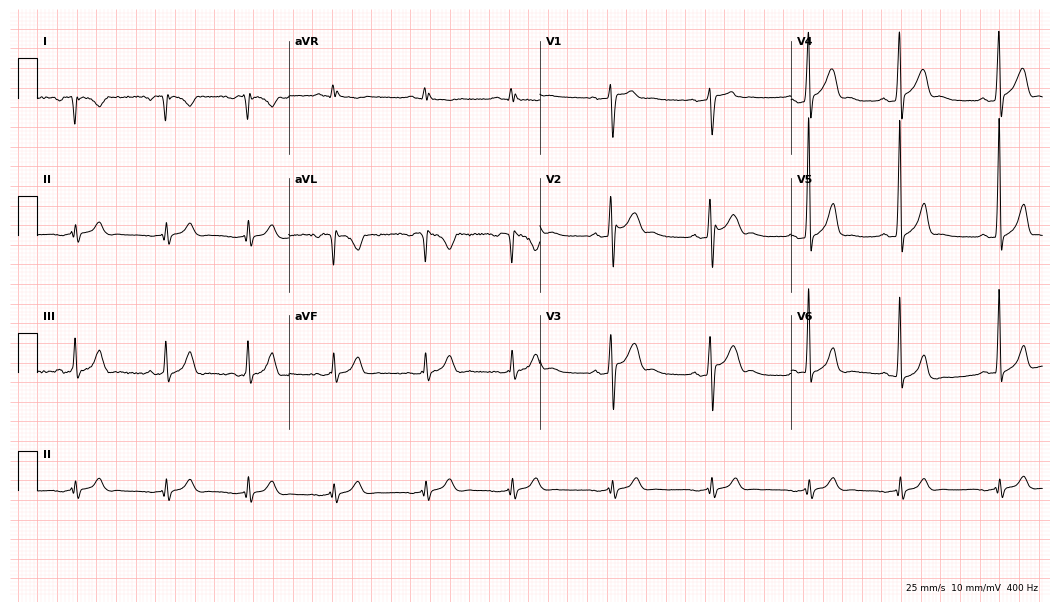
12-lead ECG from a man, 19 years old (10.2-second recording at 400 Hz). No first-degree AV block, right bundle branch block, left bundle branch block, sinus bradycardia, atrial fibrillation or sinus tachycardia recorded for this tracing. Findings outside these six are not listed.